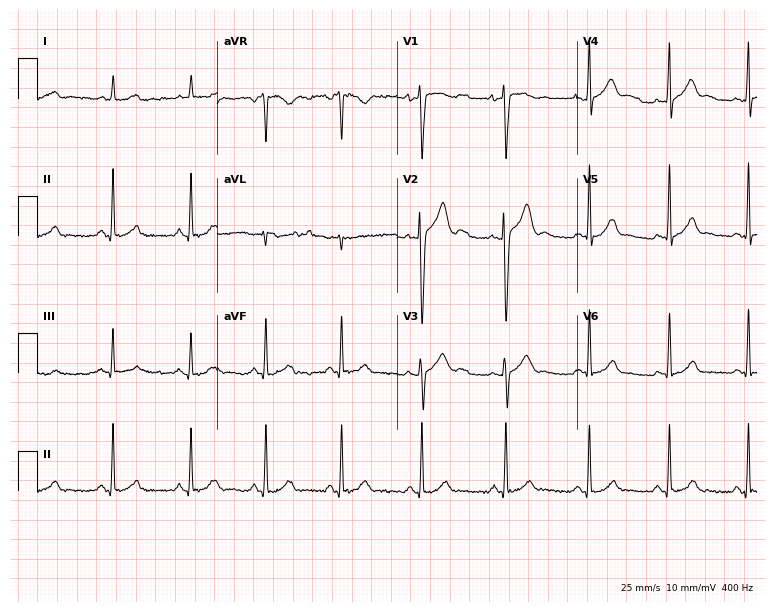
Standard 12-lead ECG recorded from a 24-year-old male patient. Read as a normal ECG.